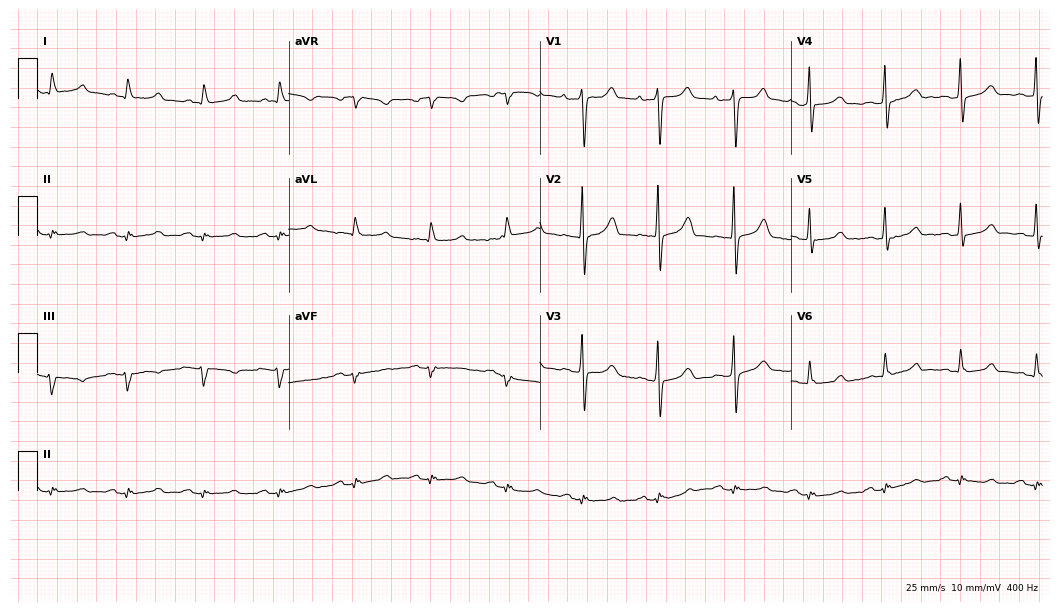
12-lead ECG from a 75-year-old male. No first-degree AV block, right bundle branch block (RBBB), left bundle branch block (LBBB), sinus bradycardia, atrial fibrillation (AF) or sinus tachycardia recorded for this tracing.